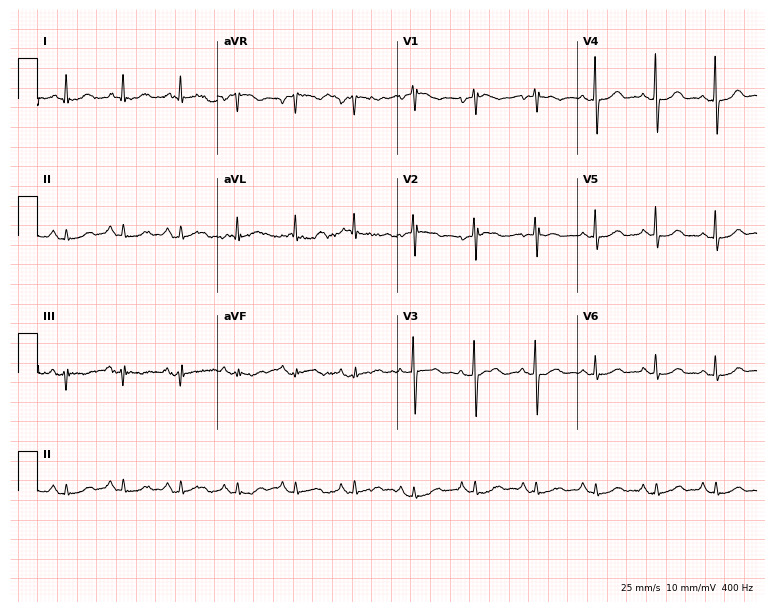
Electrocardiogram, a female, 82 years old. Overall reading on record: normal ECG.